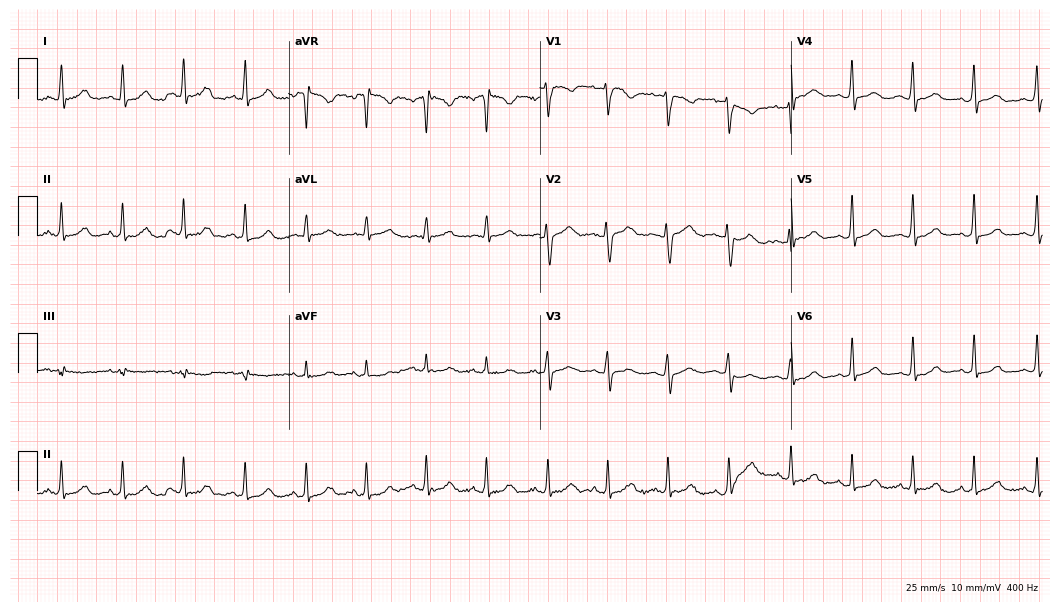
12-lead ECG (10.2-second recording at 400 Hz) from a female patient, 26 years old. Screened for six findings — first-degree AV block, right bundle branch block, left bundle branch block, sinus bradycardia, atrial fibrillation, sinus tachycardia — none is recorded. Findings outside these six are not listed.